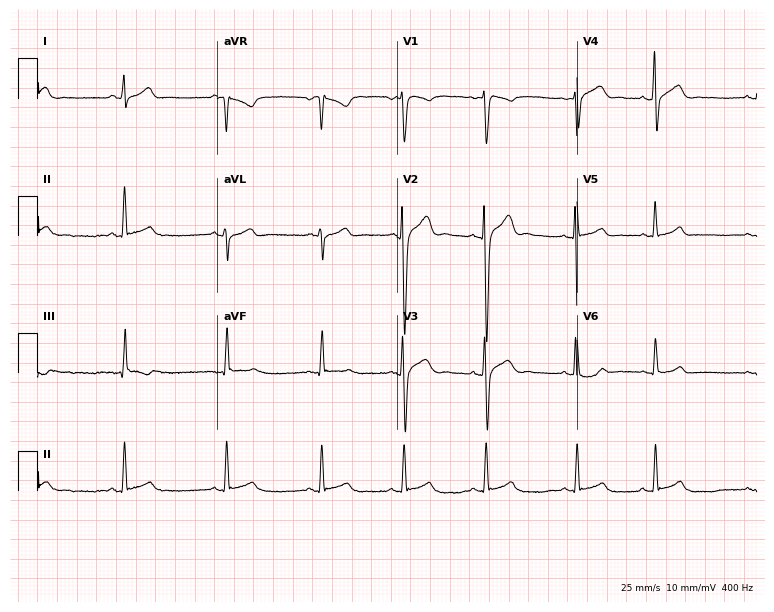
Electrocardiogram (7.3-second recording at 400 Hz), a 23-year-old man. Overall reading on record: normal ECG.